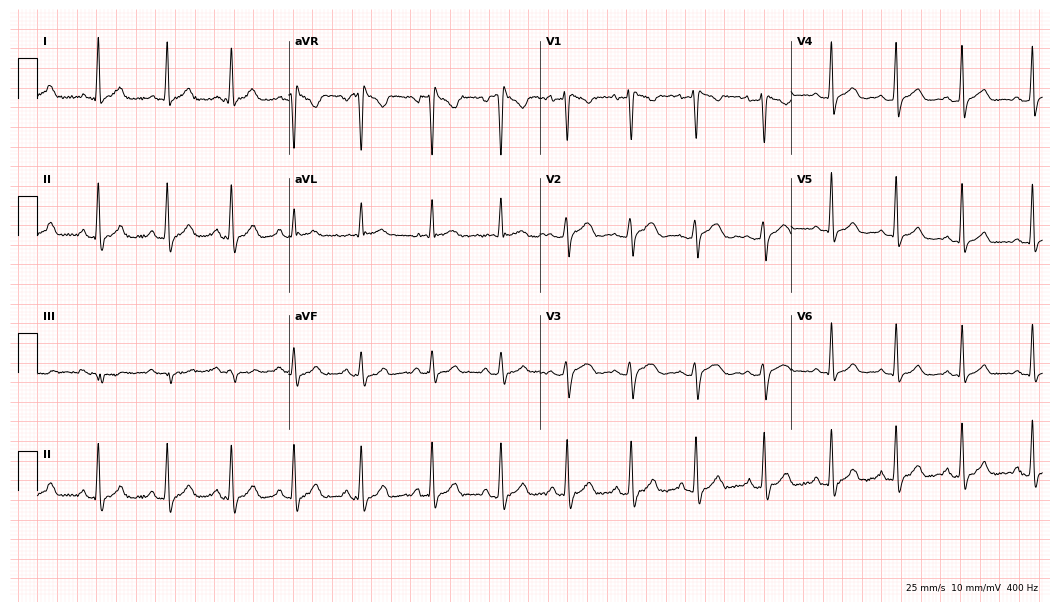
ECG (10.2-second recording at 400 Hz) — a 34-year-old female patient. Screened for six findings — first-degree AV block, right bundle branch block (RBBB), left bundle branch block (LBBB), sinus bradycardia, atrial fibrillation (AF), sinus tachycardia — none is recorded.